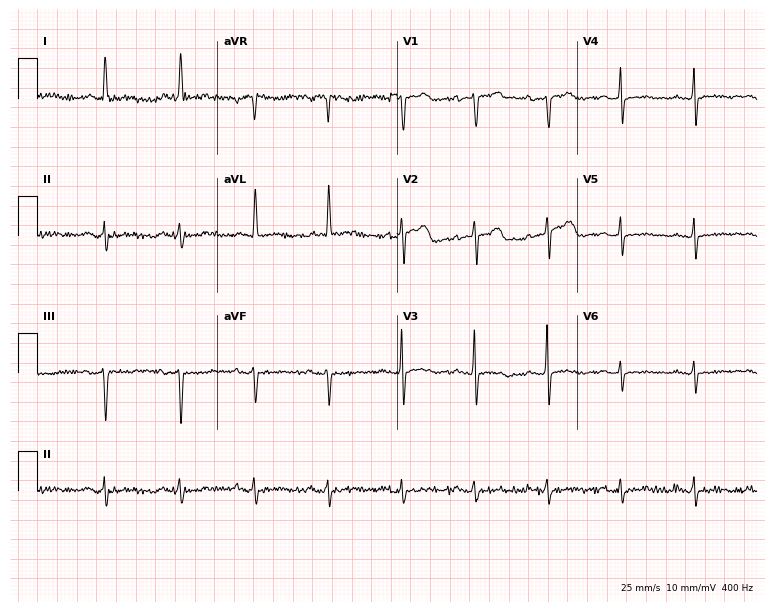
12-lead ECG from a 77-year-old woman. Screened for six findings — first-degree AV block, right bundle branch block, left bundle branch block, sinus bradycardia, atrial fibrillation, sinus tachycardia — none is recorded. Other findings, if any, are not listed.